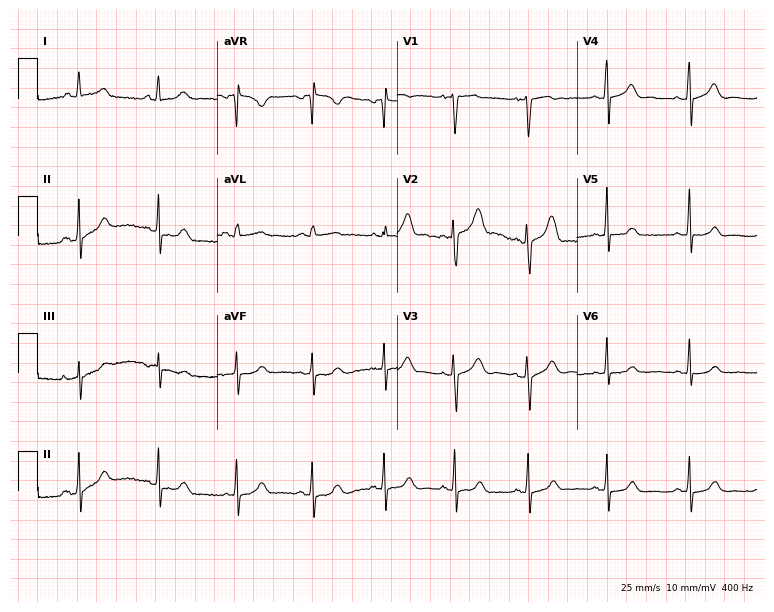
Standard 12-lead ECG recorded from a female, 36 years old (7.3-second recording at 400 Hz). Read as a normal ECG.